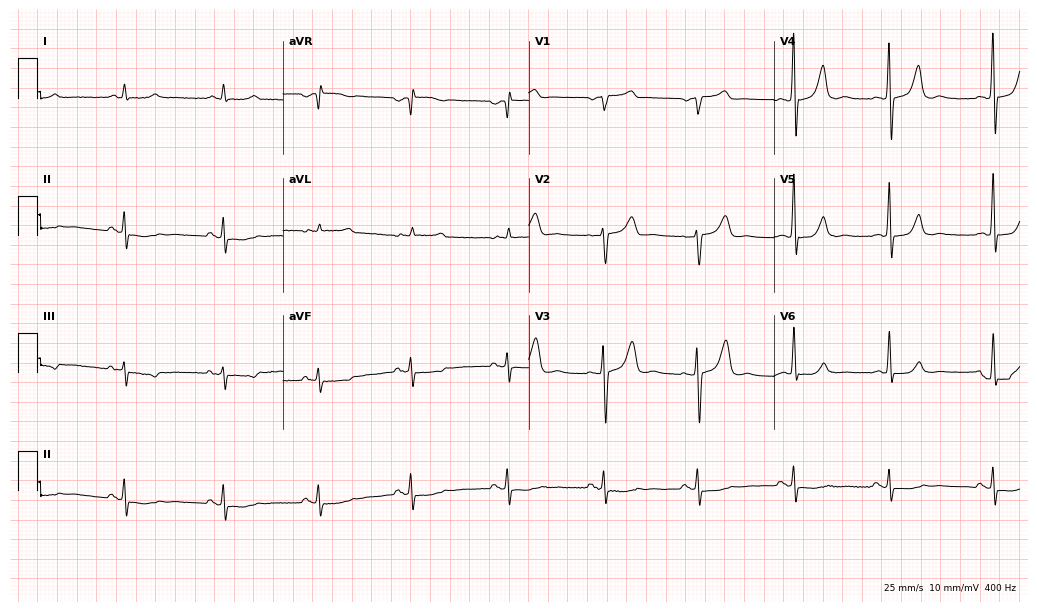
Electrocardiogram, a 59-year-old man. Of the six screened findings (first-degree AV block, right bundle branch block, left bundle branch block, sinus bradycardia, atrial fibrillation, sinus tachycardia), none is recorded.